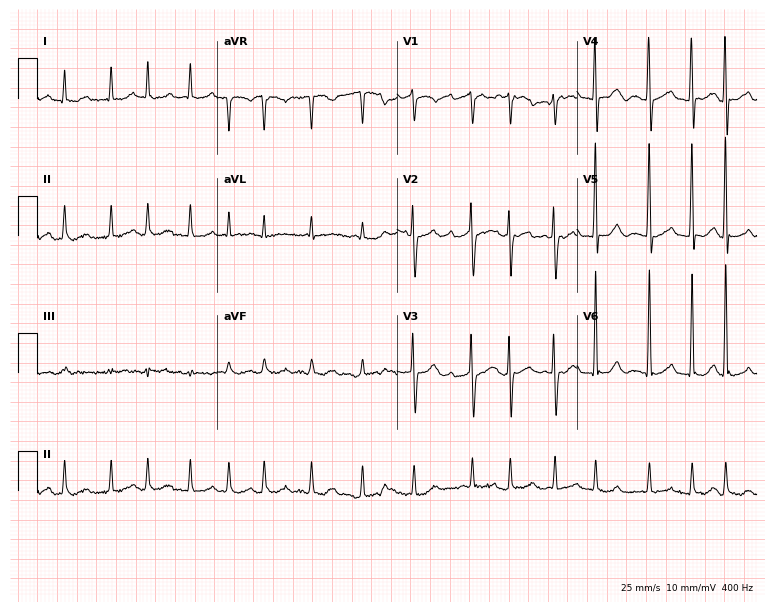
Standard 12-lead ECG recorded from an 83-year-old female patient (7.3-second recording at 400 Hz). The tracing shows atrial fibrillation (AF).